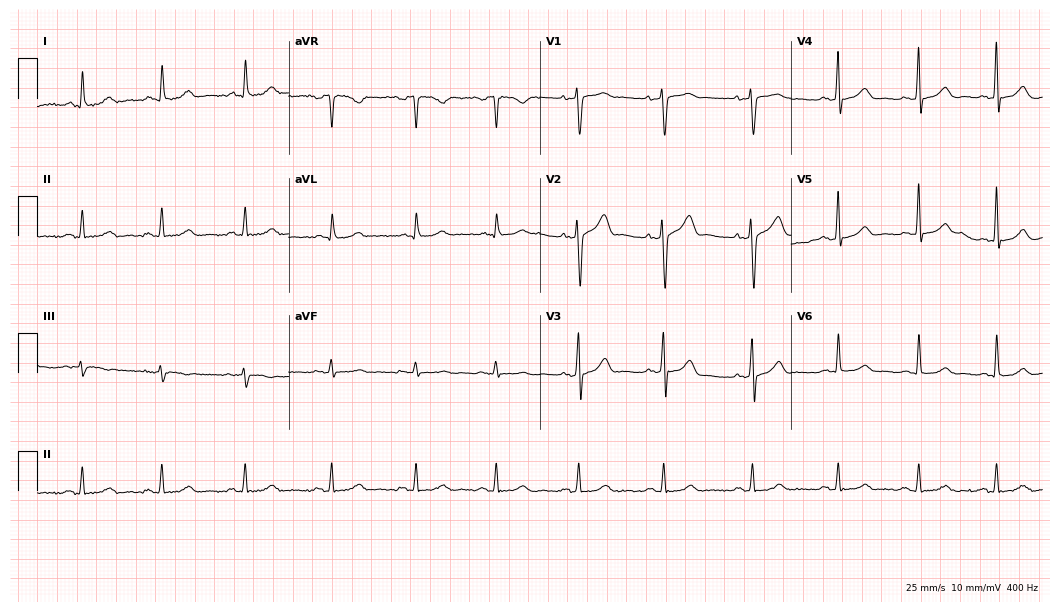
12-lead ECG from a woman, 44 years old (10.2-second recording at 400 Hz). Recorded interpretation: within normal limits.